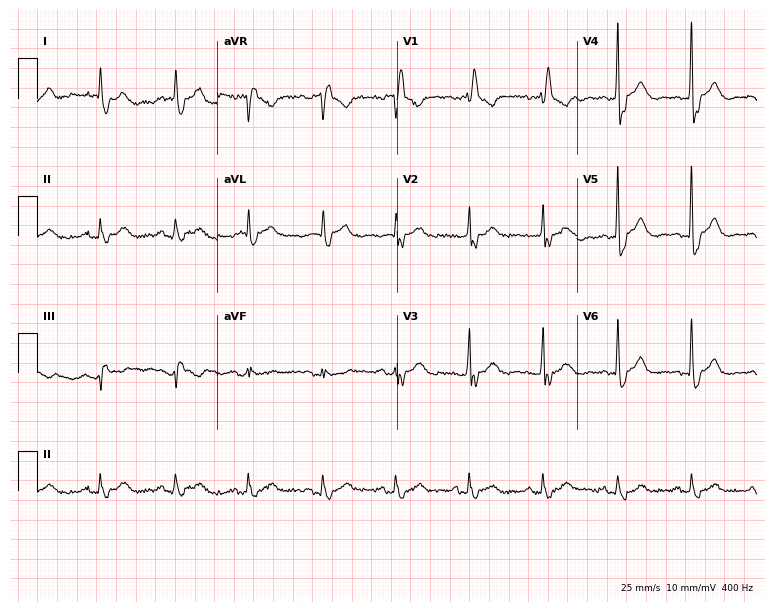
12-lead ECG from a 70-year-old male patient. Shows right bundle branch block.